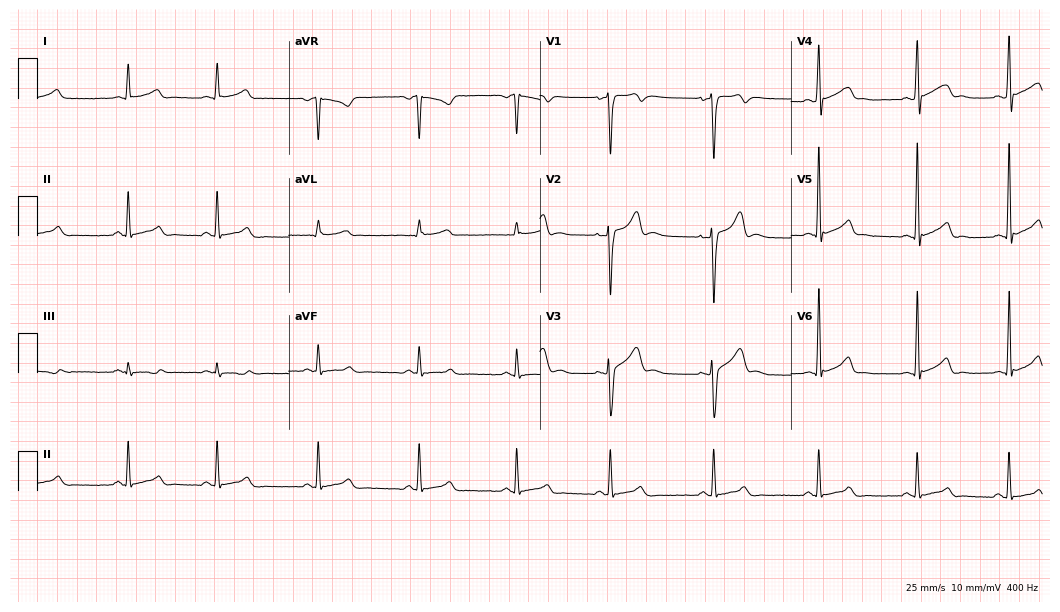
Resting 12-lead electrocardiogram (10.2-second recording at 400 Hz). Patient: a 30-year-old man. Read as a normal ECG.